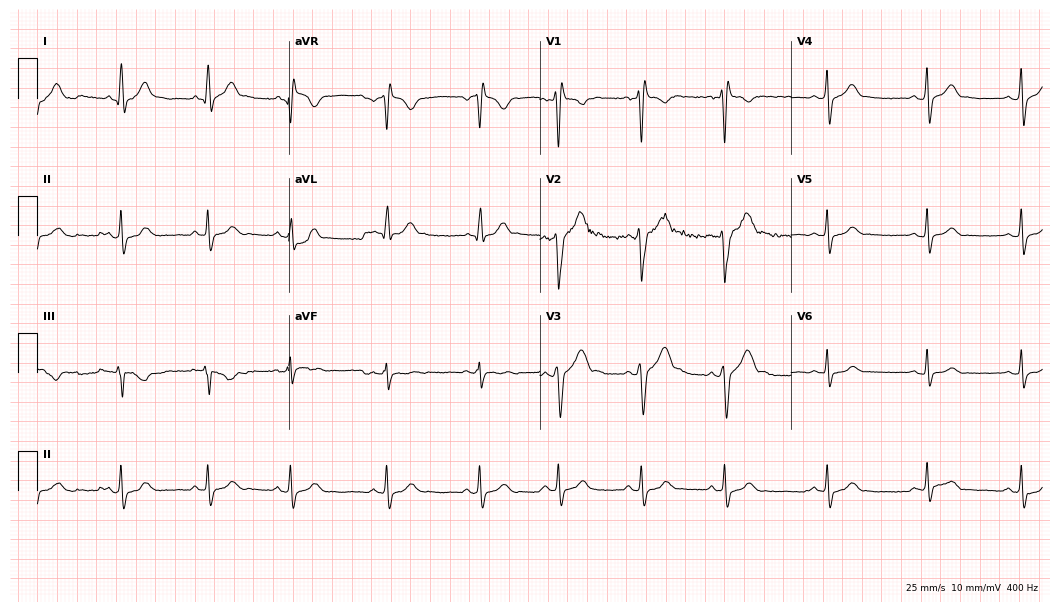
ECG — a 23-year-old man. Findings include right bundle branch block.